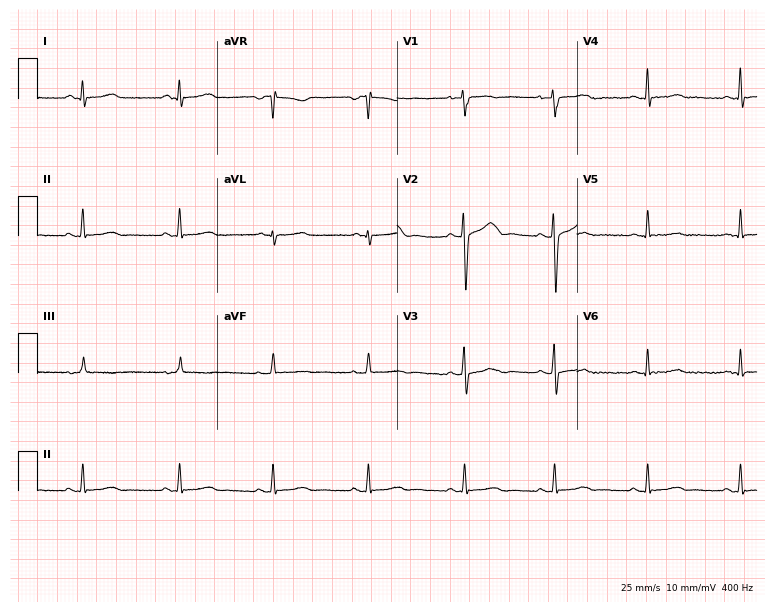
Resting 12-lead electrocardiogram. Patient: a 33-year-old woman. None of these six findings is recorded: first-degree AV block, right bundle branch block (RBBB), left bundle branch block (LBBB), sinus bradycardia, atrial fibrillation (AF), sinus tachycardia. Other findings, if any, are not listed.